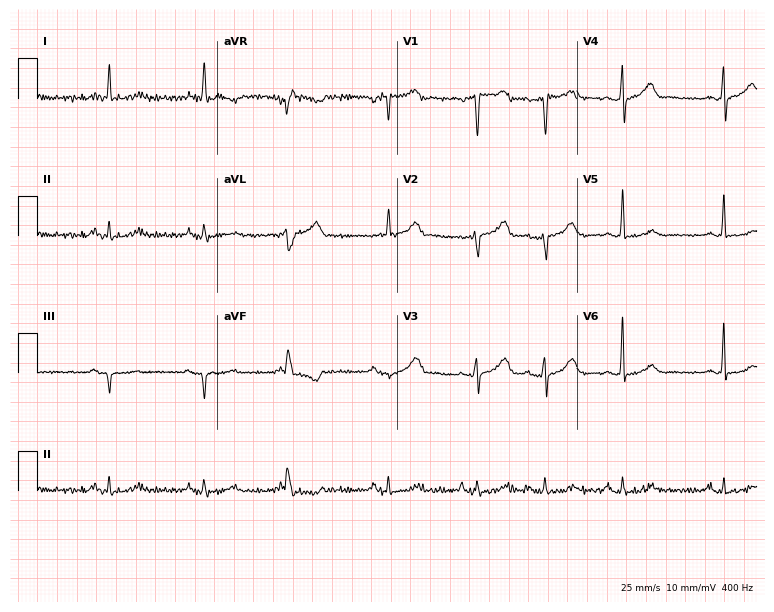
Electrocardiogram, a 75-year-old male. Of the six screened findings (first-degree AV block, right bundle branch block, left bundle branch block, sinus bradycardia, atrial fibrillation, sinus tachycardia), none is recorded. Findings outside these six are not listed.